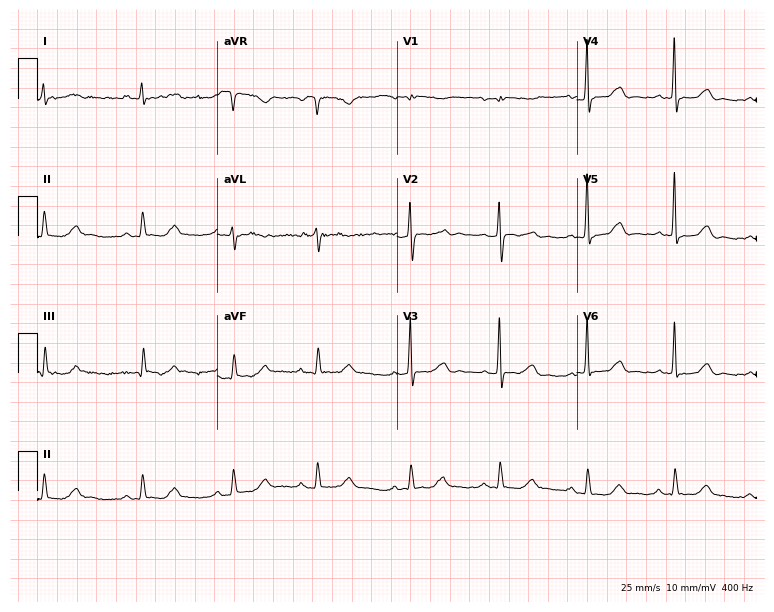
ECG (7.3-second recording at 400 Hz) — a 70-year-old female patient. Screened for six findings — first-degree AV block, right bundle branch block, left bundle branch block, sinus bradycardia, atrial fibrillation, sinus tachycardia — none is recorded.